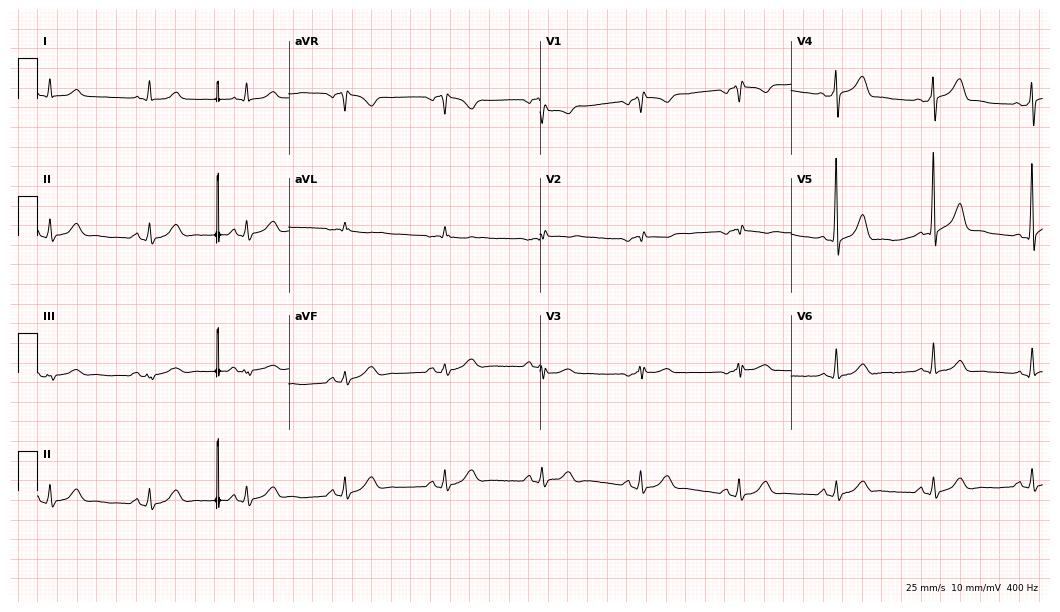
Resting 12-lead electrocardiogram. Patient: a male, 60 years old. None of these six findings is recorded: first-degree AV block, right bundle branch block (RBBB), left bundle branch block (LBBB), sinus bradycardia, atrial fibrillation (AF), sinus tachycardia. Findings outside these six are not listed.